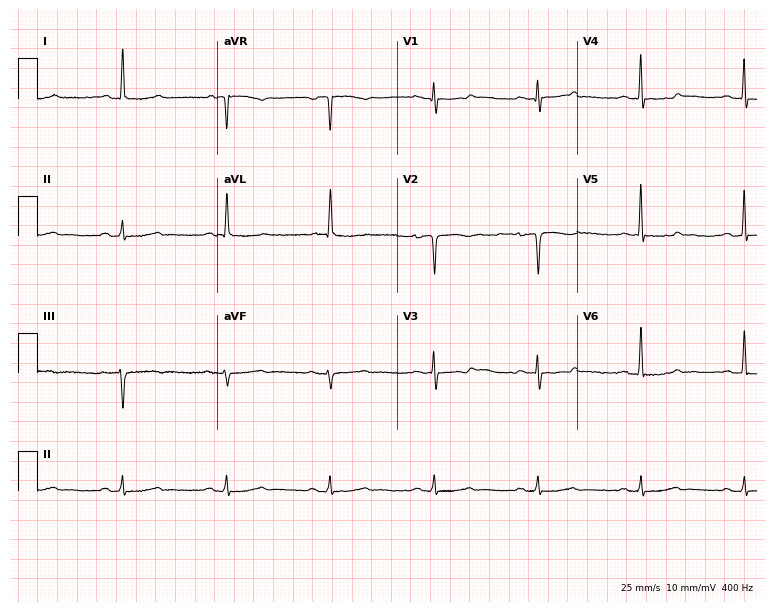
Resting 12-lead electrocardiogram (7.3-second recording at 400 Hz). Patient: a male, 86 years old. None of these six findings is recorded: first-degree AV block, right bundle branch block, left bundle branch block, sinus bradycardia, atrial fibrillation, sinus tachycardia.